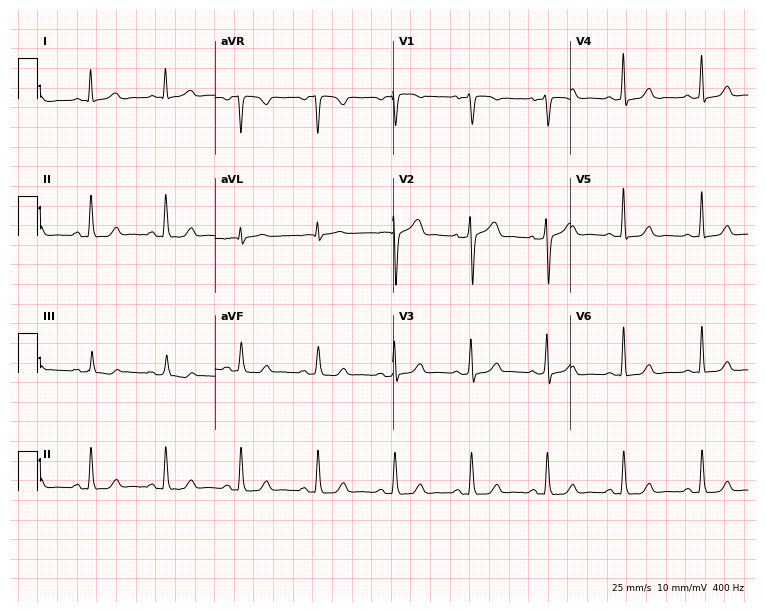
Resting 12-lead electrocardiogram. Patient: a 51-year-old woman. Read as a normal ECG.